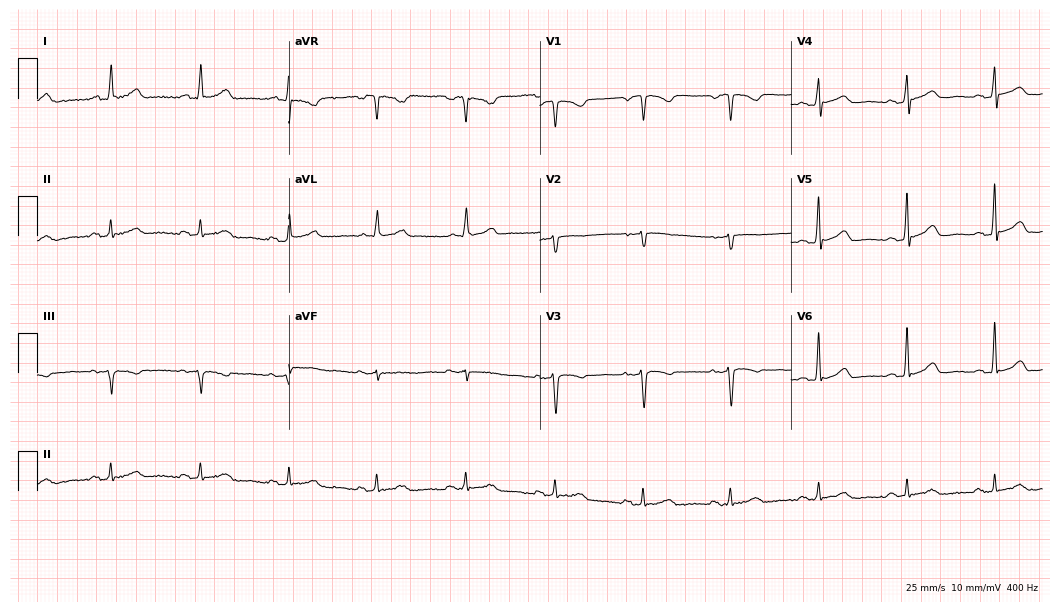
ECG (10.2-second recording at 400 Hz) — a 64-year-old male patient. Screened for six findings — first-degree AV block, right bundle branch block, left bundle branch block, sinus bradycardia, atrial fibrillation, sinus tachycardia — none is recorded.